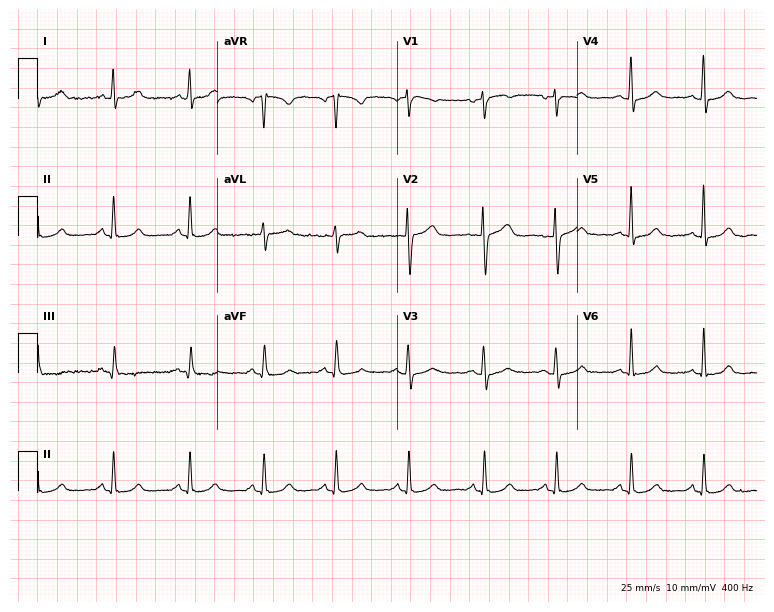
12-lead ECG from a 50-year-old female patient. Labelled as a normal ECG.